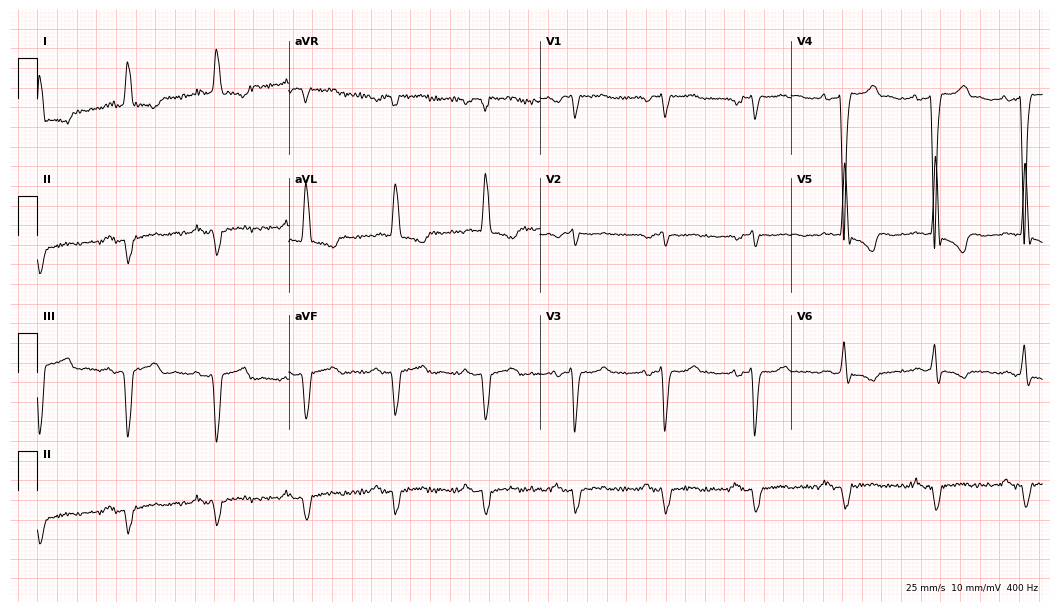
Resting 12-lead electrocardiogram (10.2-second recording at 400 Hz). Patient: a 60-year-old male. None of these six findings is recorded: first-degree AV block, right bundle branch block, left bundle branch block, sinus bradycardia, atrial fibrillation, sinus tachycardia. Findings outside these six are not listed.